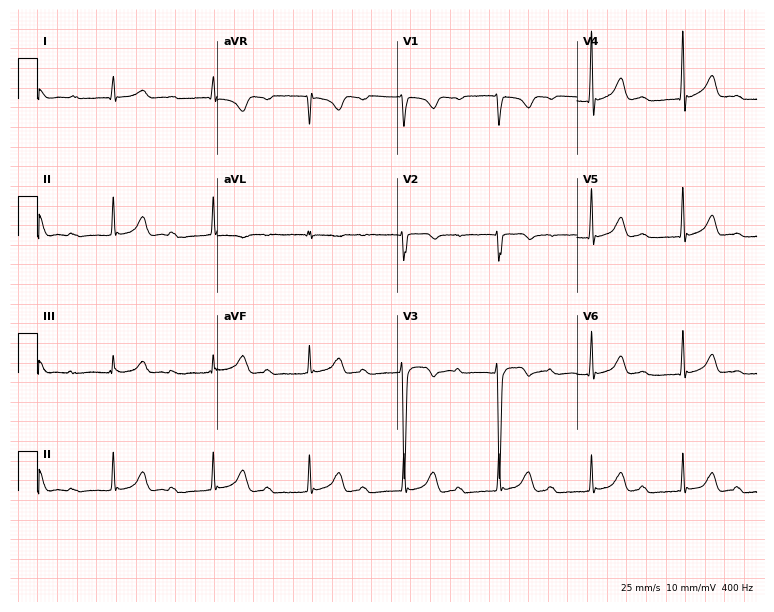
12-lead ECG from a 24-year-old male patient. Shows first-degree AV block.